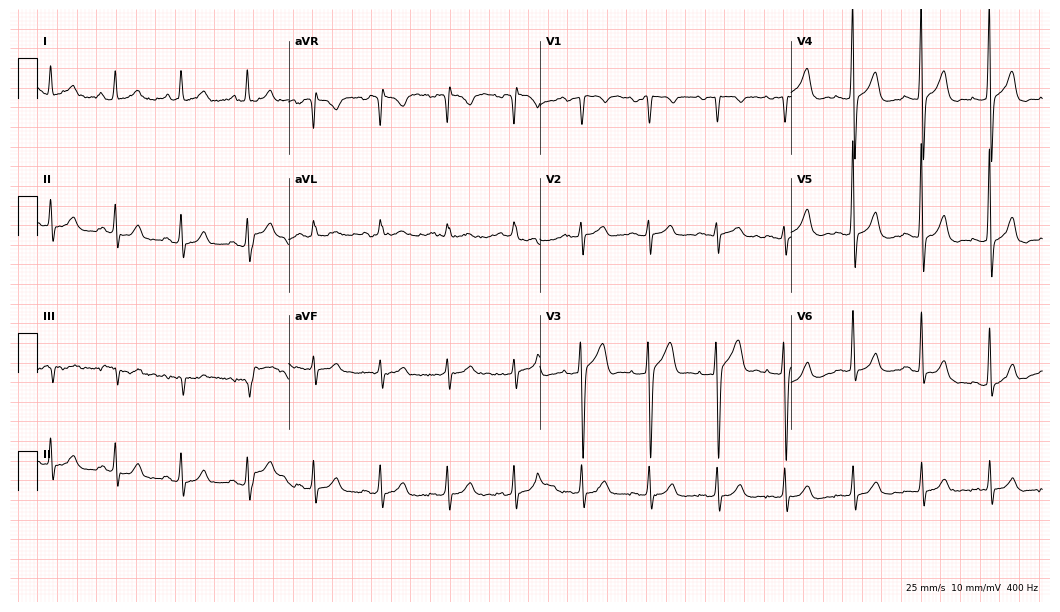
Electrocardiogram (10.2-second recording at 400 Hz), a 57-year-old man. Overall reading on record: normal ECG.